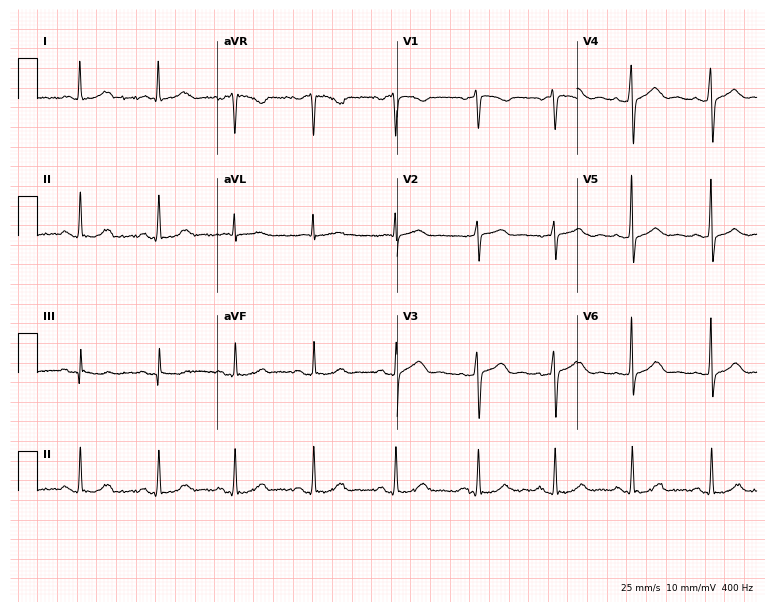
Electrocardiogram, a female patient, 42 years old. Overall reading on record: normal ECG.